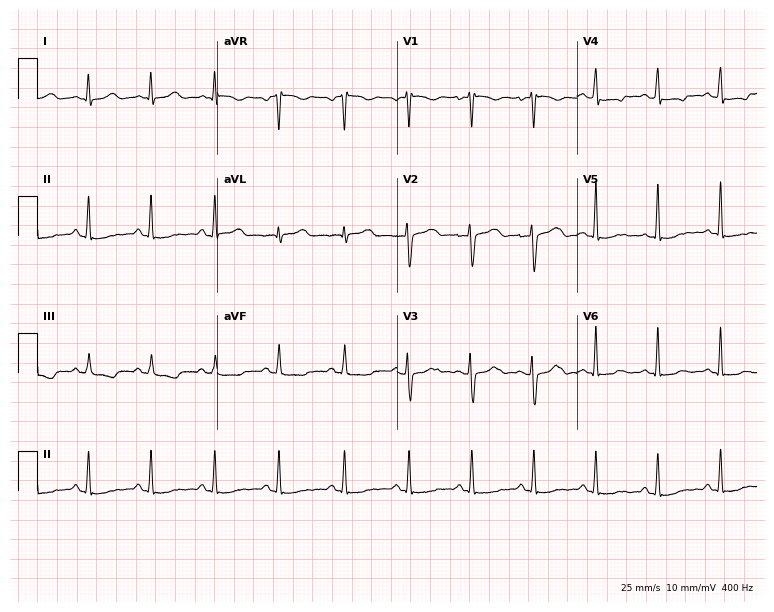
Electrocardiogram (7.3-second recording at 400 Hz), a 34-year-old female patient. Of the six screened findings (first-degree AV block, right bundle branch block, left bundle branch block, sinus bradycardia, atrial fibrillation, sinus tachycardia), none is recorded. Findings outside these six are not listed.